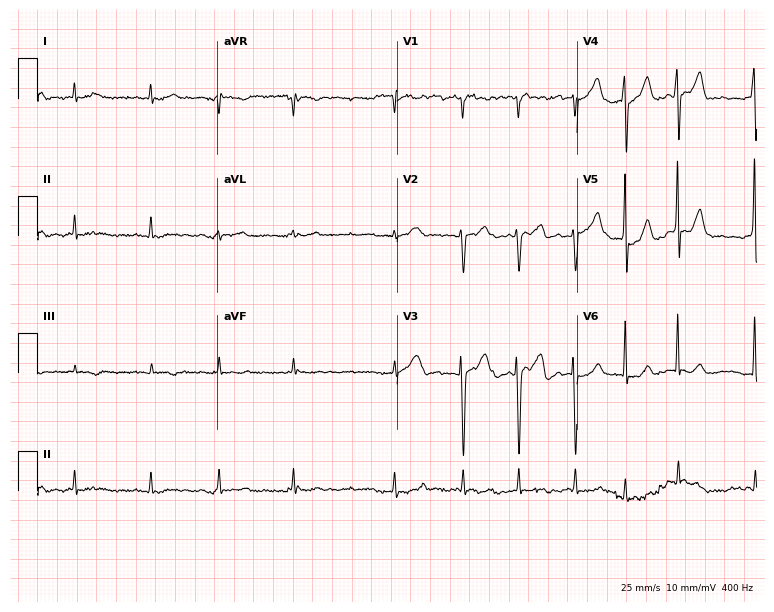
ECG — a man, 79 years old. Screened for six findings — first-degree AV block, right bundle branch block (RBBB), left bundle branch block (LBBB), sinus bradycardia, atrial fibrillation (AF), sinus tachycardia — none is recorded. Only these six findings were labelled.